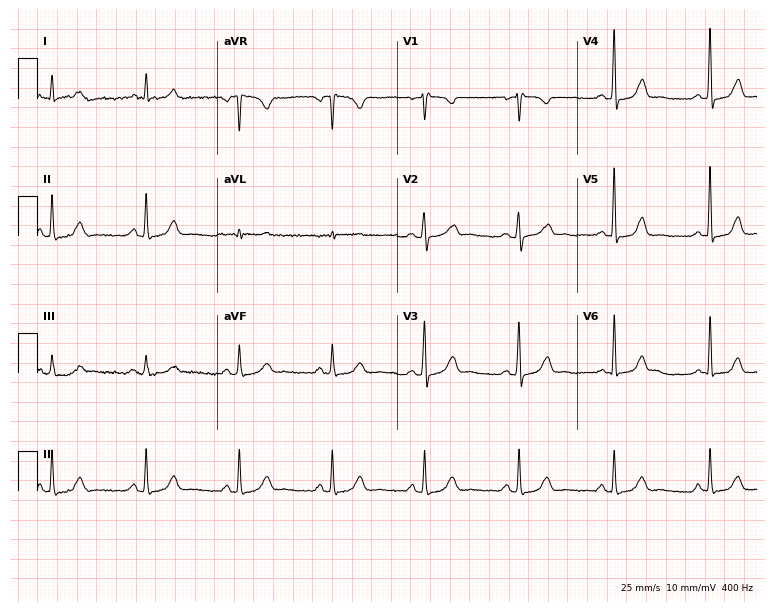
12-lead ECG (7.3-second recording at 400 Hz) from a 54-year-old female. Screened for six findings — first-degree AV block, right bundle branch block, left bundle branch block, sinus bradycardia, atrial fibrillation, sinus tachycardia — none is recorded. Findings outside these six are not listed.